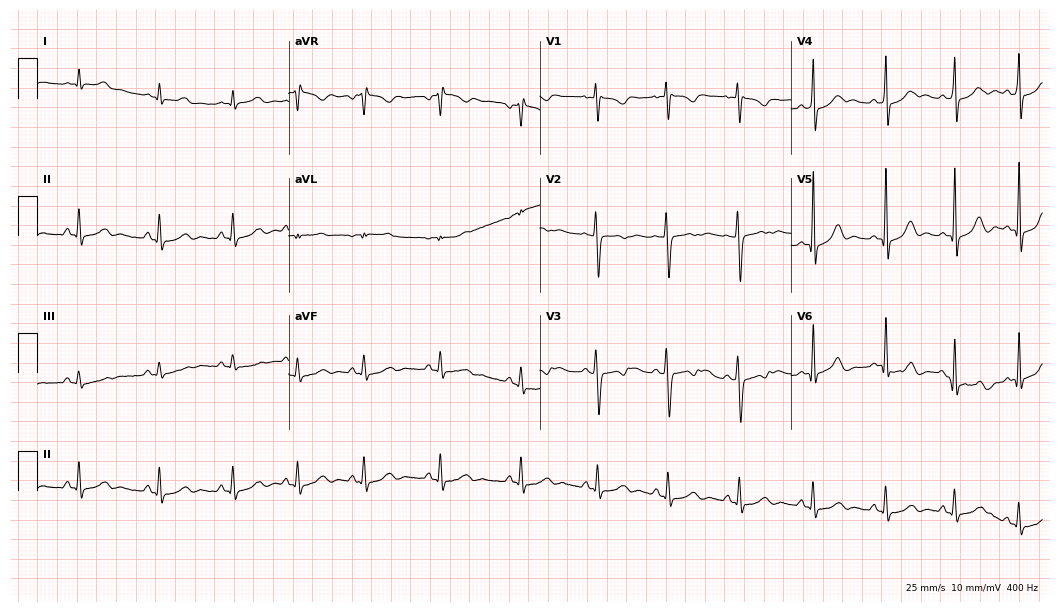
Electrocardiogram, a 42-year-old woman. Overall reading on record: normal ECG.